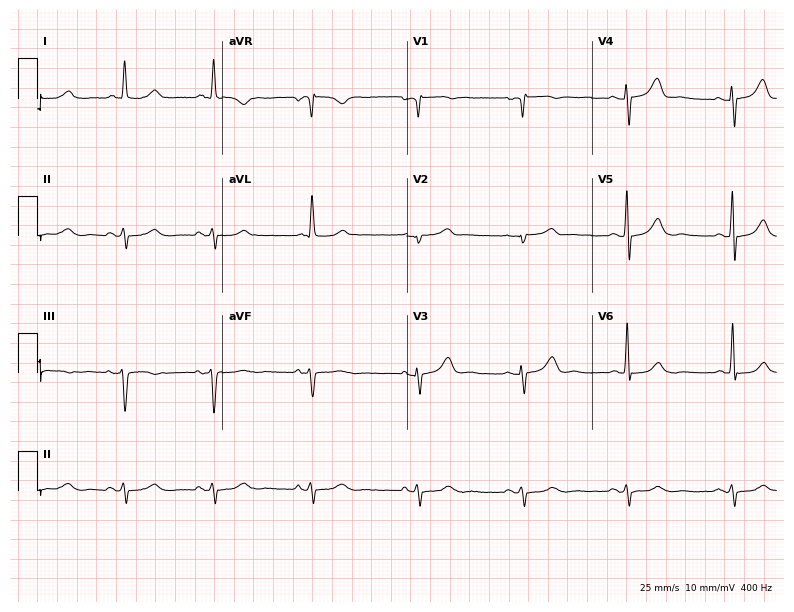
Resting 12-lead electrocardiogram (7.5-second recording at 400 Hz). Patient: a 73-year-old woman. None of these six findings is recorded: first-degree AV block, right bundle branch block, left bundle branch block, sinus bradycardia, atrial fibrillation, sinus tachycardia. Only these six findings were labelled.